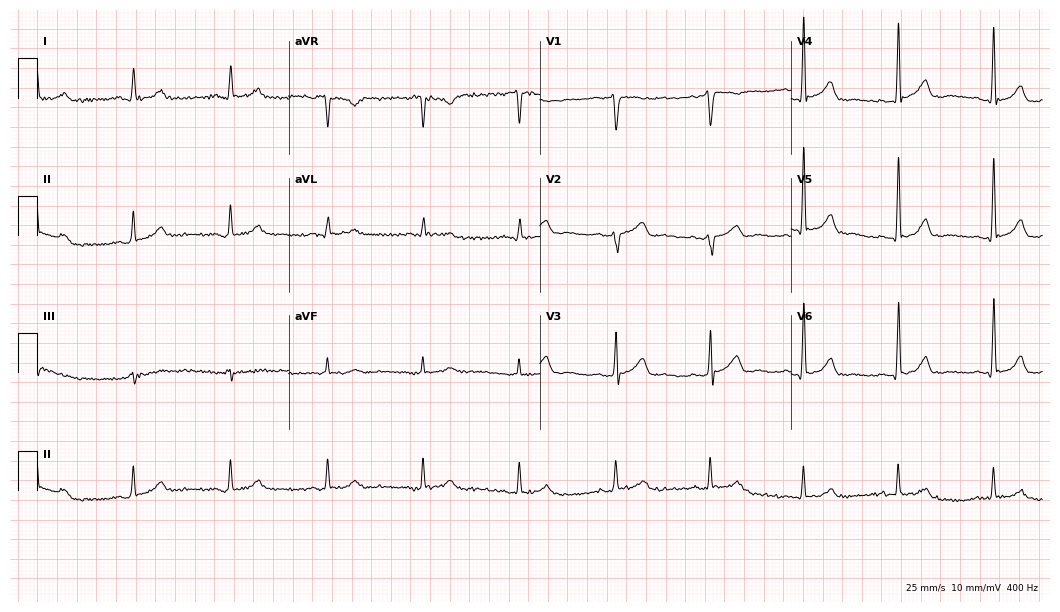
Electrocardiogram, a 41-year-old male patient. Overall reading on record: normal ECG.